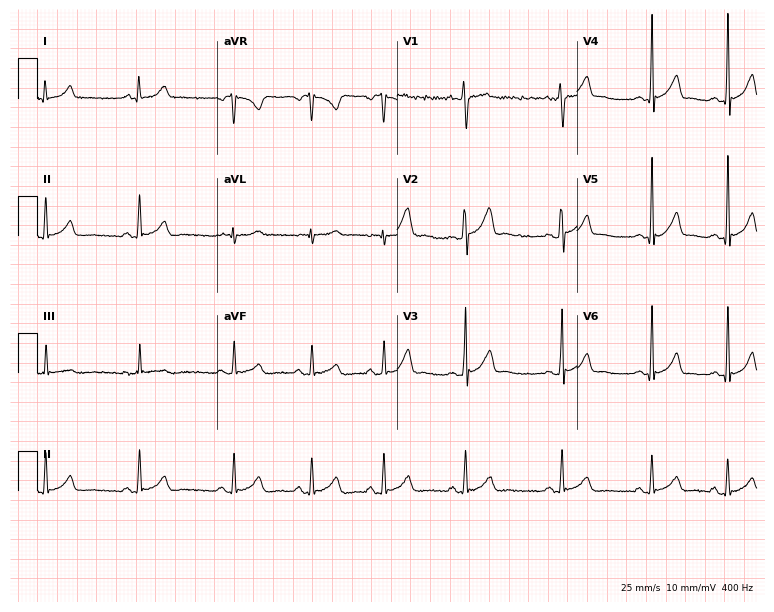
12-lead ECG (7.3-second recording at 400 Hz) from an 18-year-old male. Screened for six findings — first-degree AV block, right bundle branch block, left bundle branch block, sinus bradycardia, atrial fibrillation, sinus tachycardia — none is recorded. Findings outside these six are not listed.